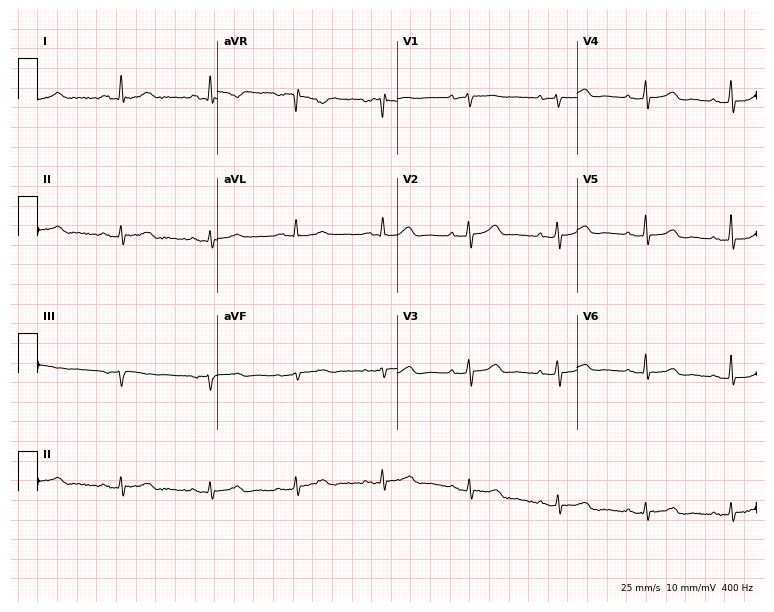
12-lead ECG from a woman, 64 years old. No first-degree AV block, right bundle branch block (RBBB), left bundle branch block (LBBB), sinus bradycardia, atrial fibrillation (AF) or sinus tachycardia recorded for this tracing.